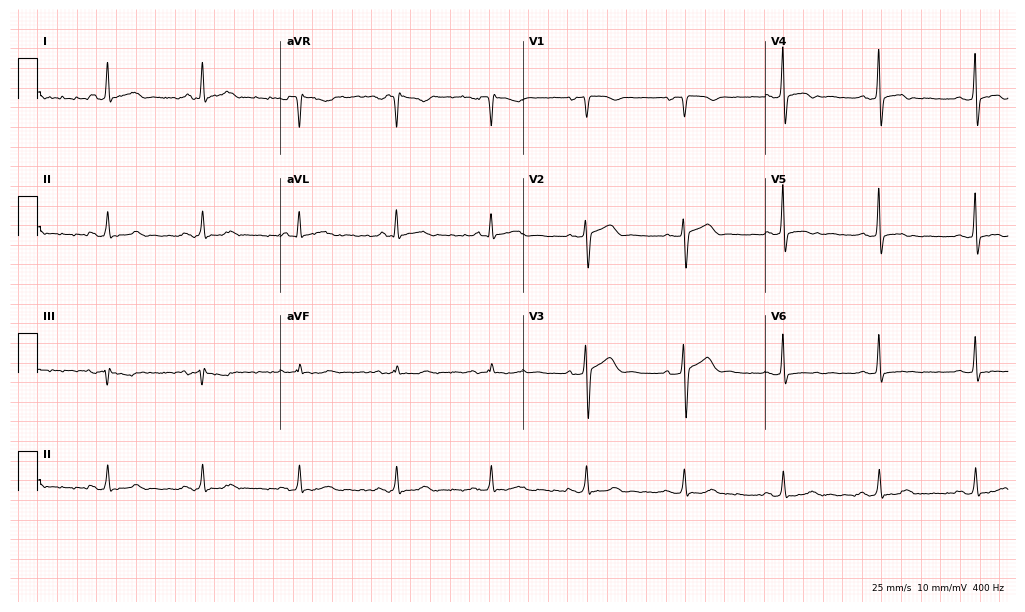
Standard 12-lead ECG recorded from a female, 52 years old (9.9-second recording at 400 Hz). None of these six findings is recorded: first-degree AV block, right bundle branch block, left bundle branch block, sinus bradycardia, atrial fibrillation, sinus tachycardia. Other findings, if any, are not listed.